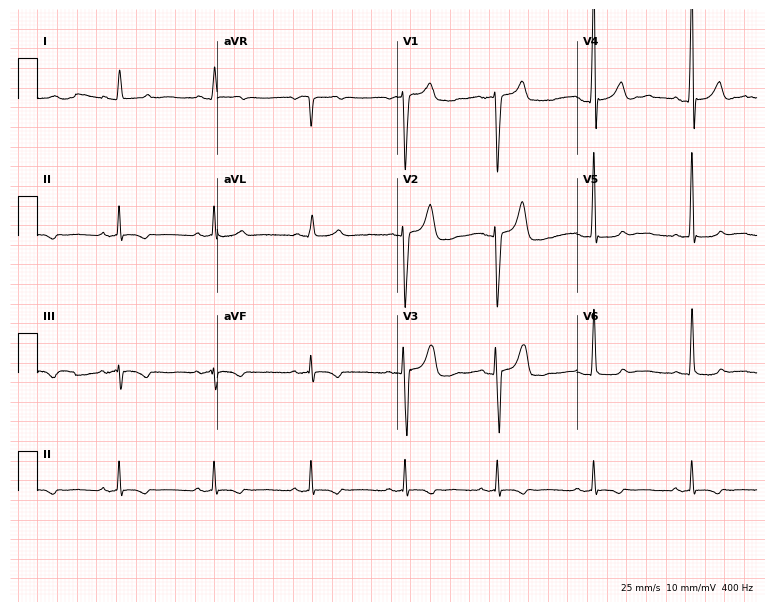
Electrocardiogram (7.3-second recording at 400 Hz), a male, 51 years old. Of the six screened findings (first-degree AV block, right bundle branch block, left bundle branch block, sinus bradycardia, atrial fibrillation, sinus tachycardia), none is recorded. Only these six findings were labelled.